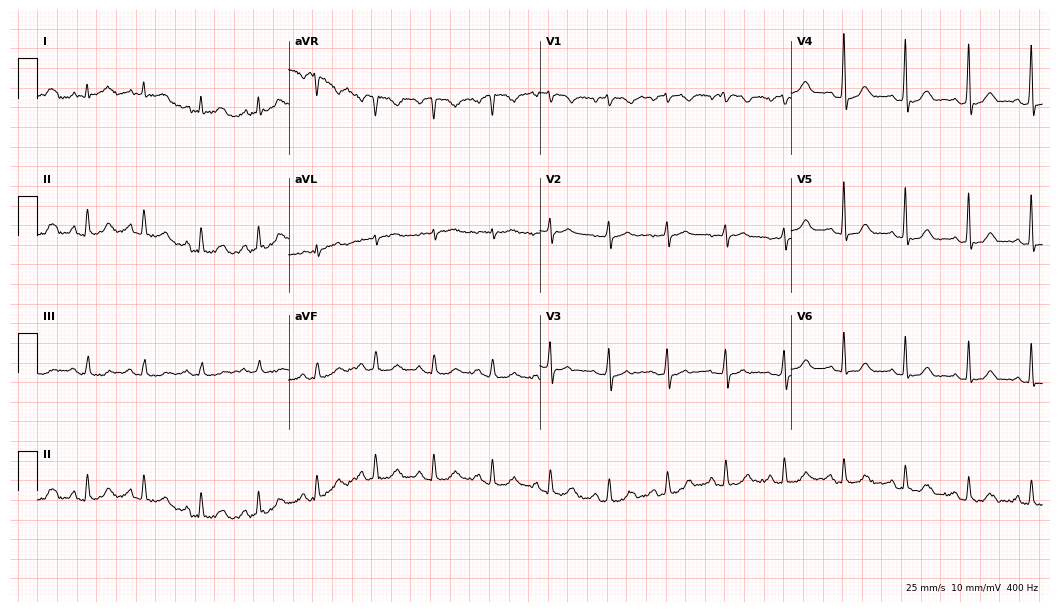
Resting 12-lead electrocardiogram. Patient: a female, 52 years old. Read as a normal ECG.